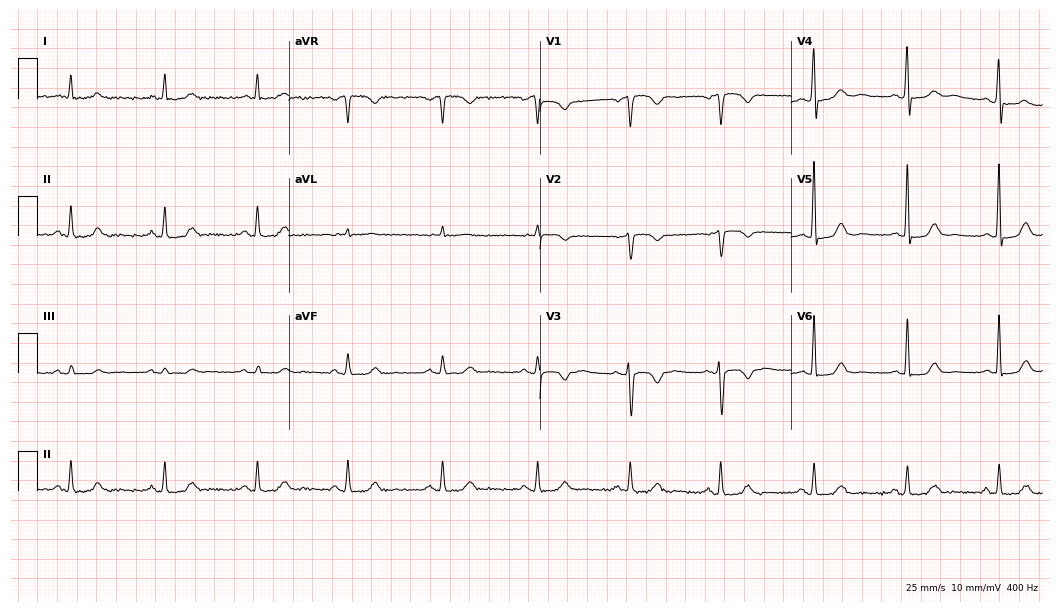
Resting 12-lead electrocardiogram. Patient: an 83-year-old female. Read as a normal ECG.